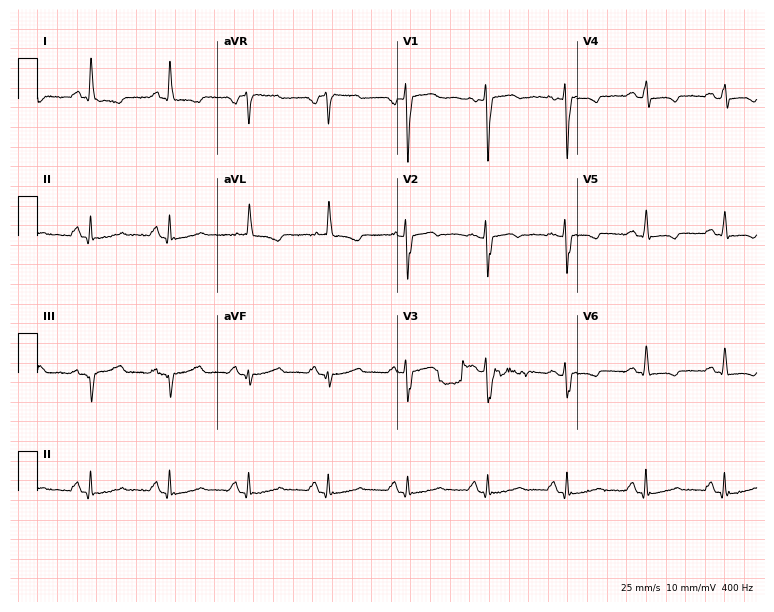
12-lead ECG from a female patient, 55 years old. Screened for six findings — first-degree AV block, right bundle branch block, left bundle branch block, sinus bradycardia, atrial fibrillation, sinus tachycardia — none is recorded.